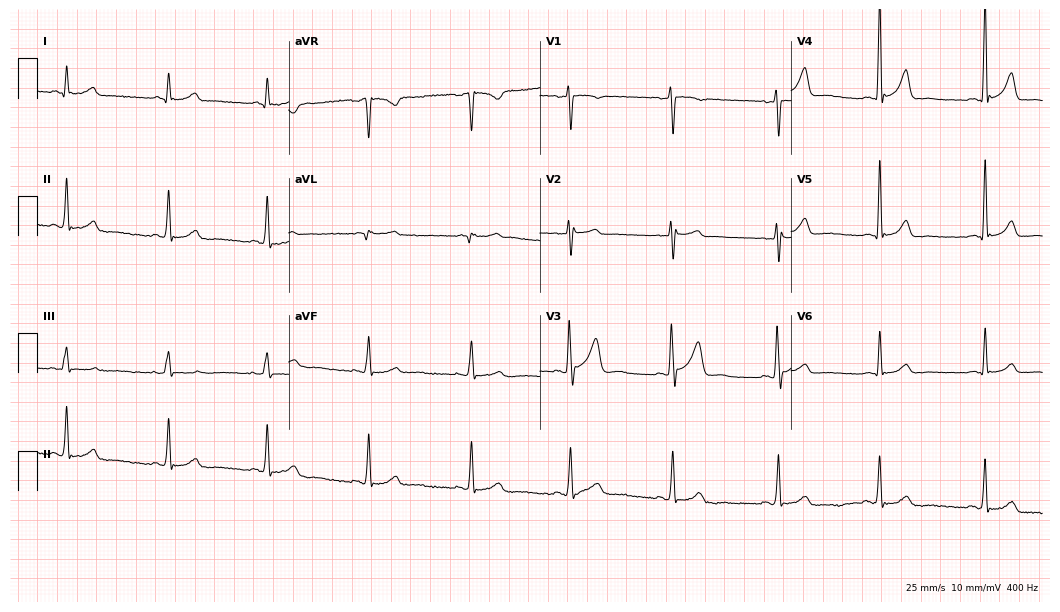
Resting 12-lead electrocardiogram. Patient: a male, 38 years old. Read as a normal ECG.